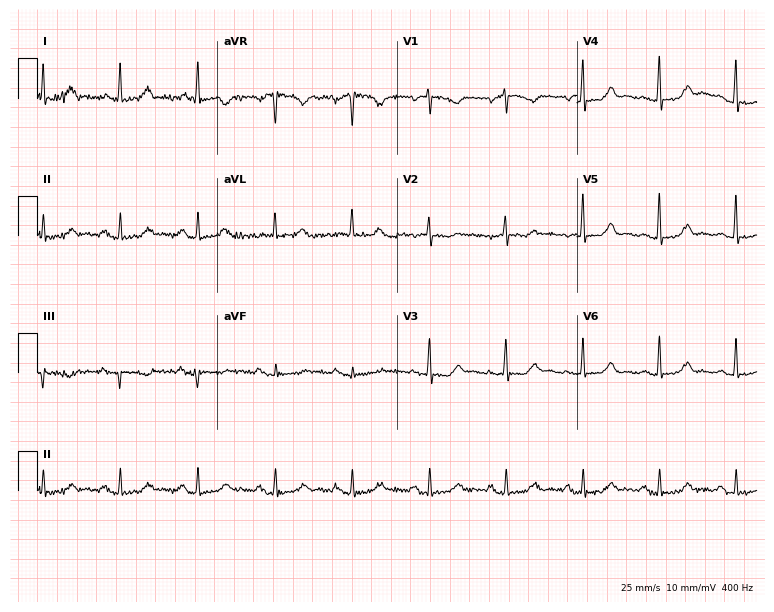
ECG (7.3-second recording at 400 Hz) — a 69-year-old female. Labelled as a normal ECG.